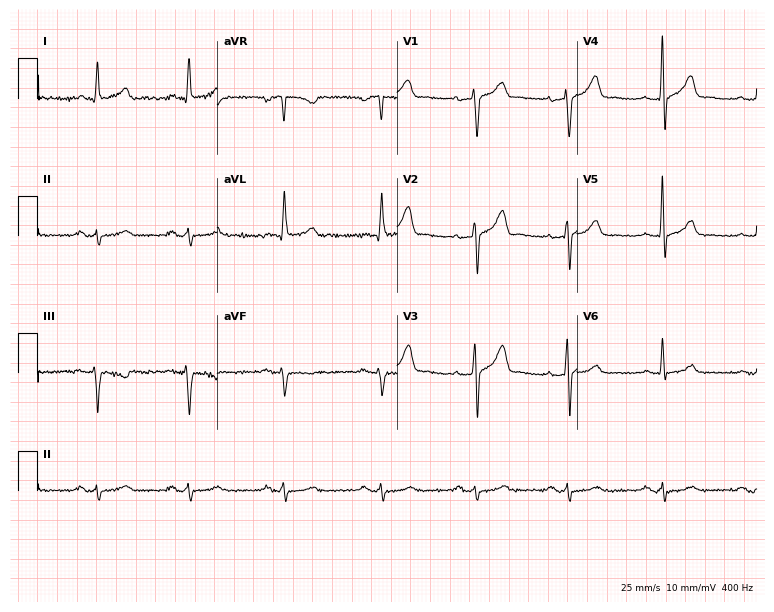
ECG — a 78-year-old male. Screened for six findings — first-degree AV block, right bundle branch block, left bundle branch block, sinus bradycardia, atrial fibrillation, sinus tachycardia — none is recorded. Findings outside these six are not listed.